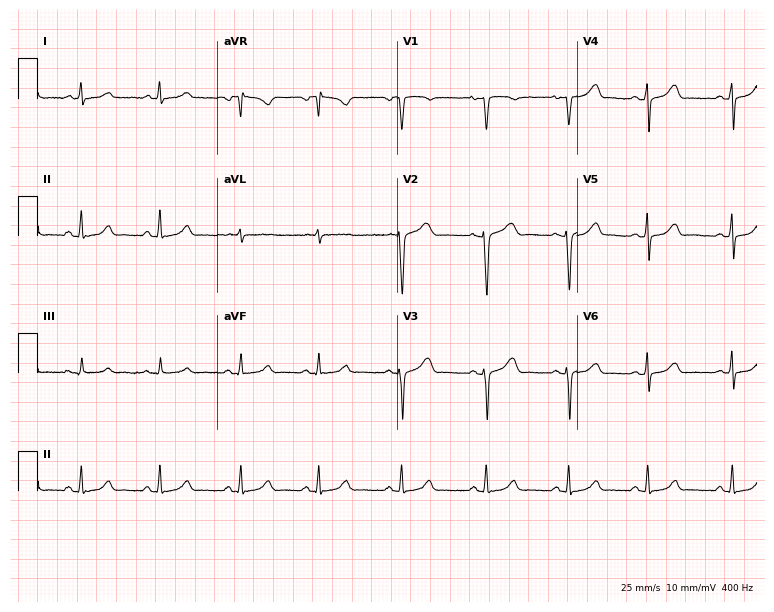
Electrocardiogram, a 29-year-old female. Of the six screened findings (first-degree AV block, right bundle branch block (RBBB), left bundle branch block (LBBB), sinus bradycardia, atrial fibrillation (AF), sinus tachycardia), none is recorded.